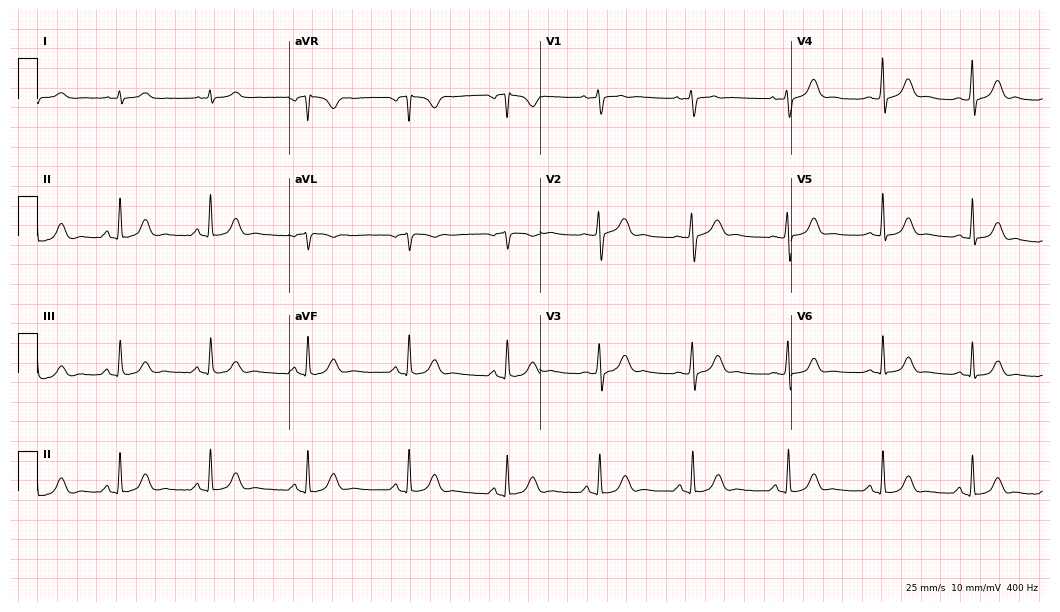
Resting 12-lead electrocardiogram (10.2-second recording at 400 Hz). Patient: a 39-year-old female. Read as a normal ECG.